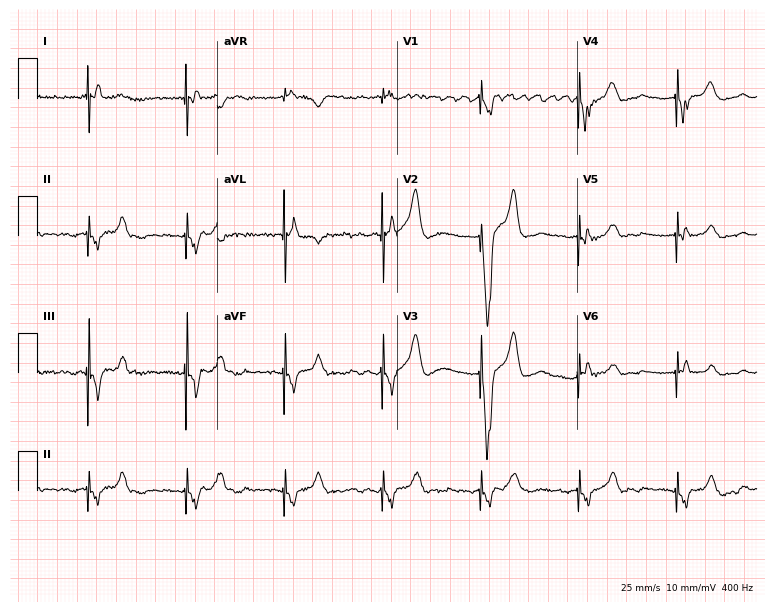
Resting 12-lead electrocardiogram (7.3-second recording at 400 Hz). Patient: an 85-year-old male. None of these six findings is recorded: first-degree AV block, right bundle branch block (RBBB), left bundle branch block (LBBB), sinus bradycardia, atrial fibrillation (AF), sinus tachycardia.